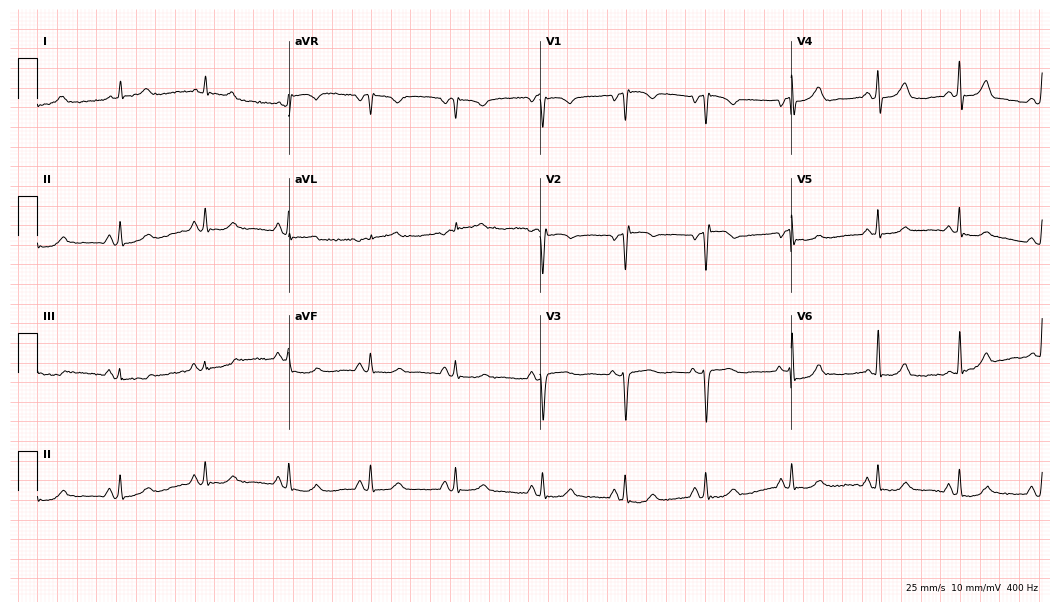
Electrocardiogram (10.2-second recording at 400 Hz), an 81-year-old female. Overall reading on record: normal ECG.